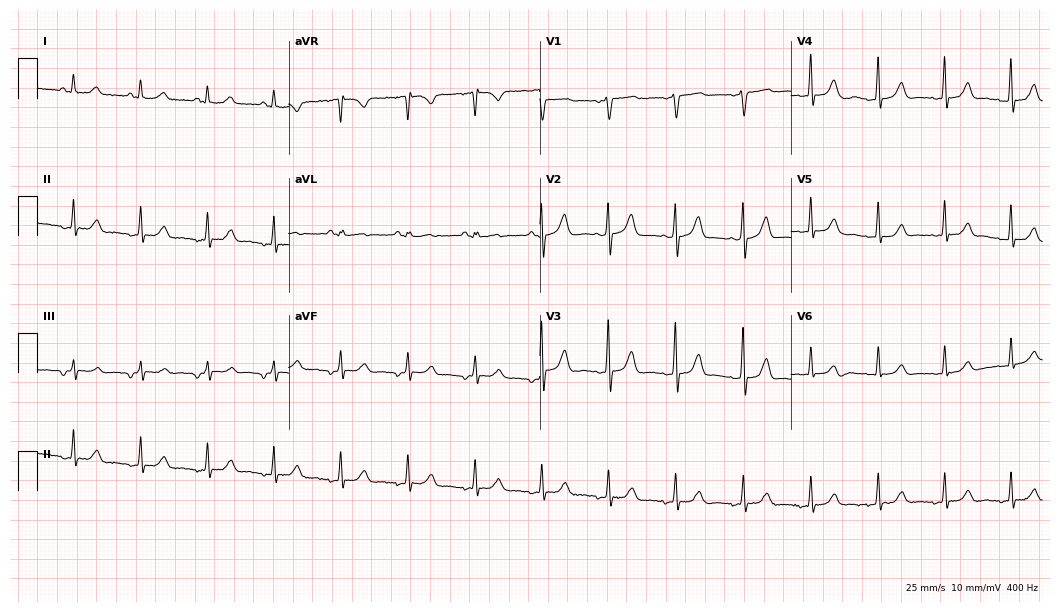
Standard 12-lead ECG recorded from a female patient, 66 years old (10.2-second recording at 400 Hz). None of these six findings is recorded: first-degree AV block, right bundle branch block (RBBB), left bundle branch block (LBBB), sinus bradycardia, atrial fibrillation (AF), sinus tachycardia. Findings outside these six are not listed.